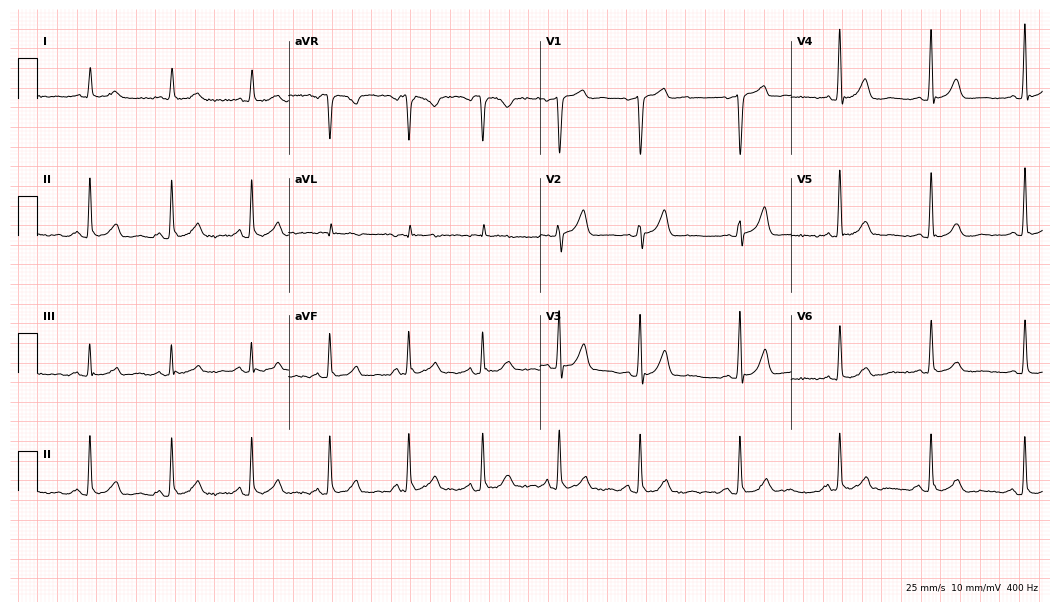
Standard 12-lead ECG recorded from a 65-year-old male patient. Read as a normal ECG.